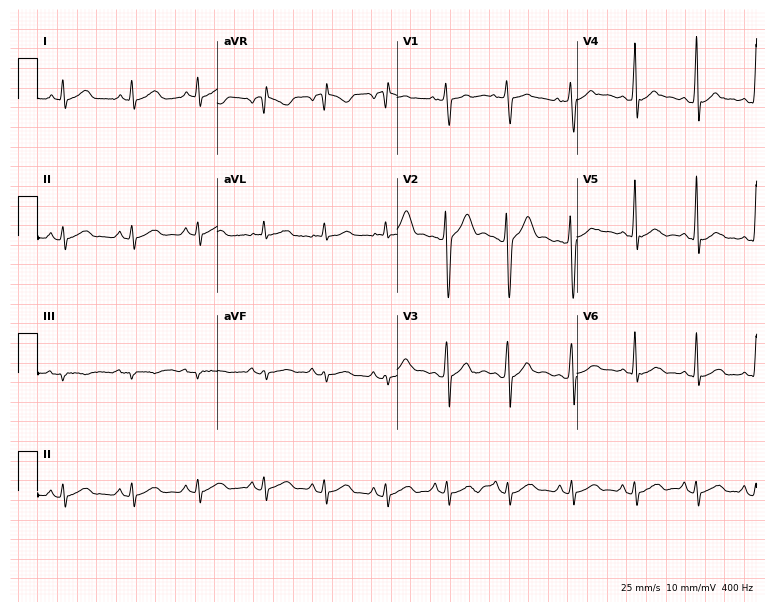
12-lead ECG from a 39-year-old man. No first-degree AV block, right bundle branch block (RBBB), left bundle branch block (LBBB), sinus bradycardia, atrial fibrillation (AF) or sinus tachycardia recorded for this tracing. Findings outside these six are not listed.